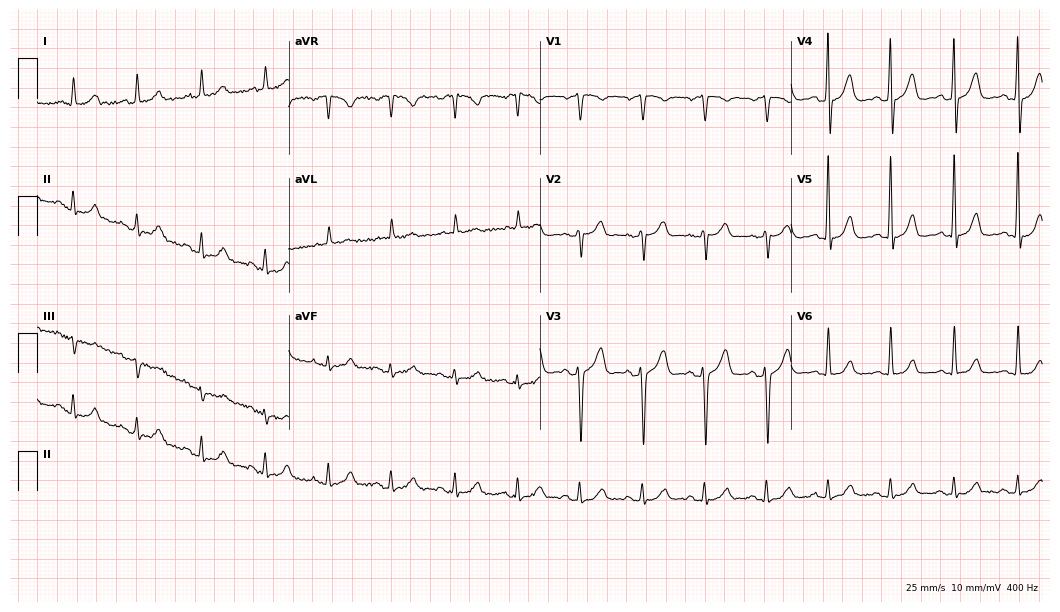
ECG — a male, 67 years old. Labelled as a normal ECG.